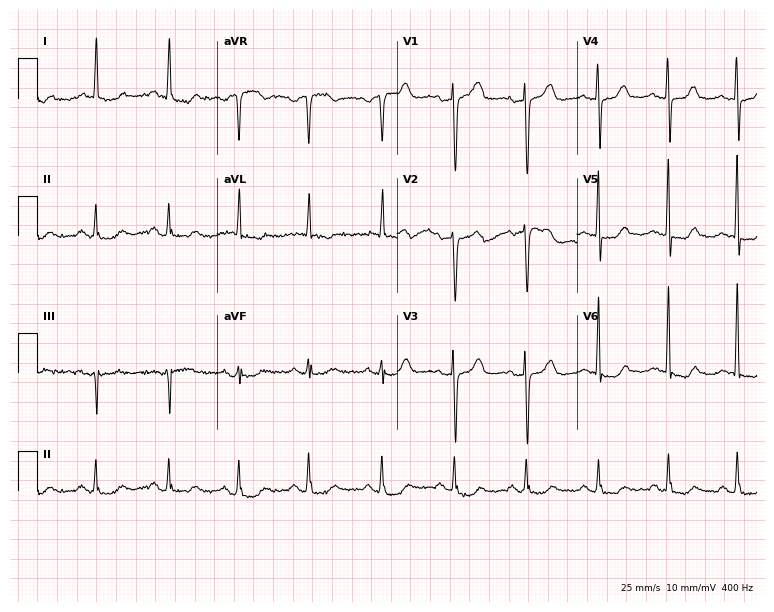
ECG (7.3-second recording at 400 Hz) — a woman, 85 years old. Screened for six findings — first-degree AV block, right bundle branch block (RBBB), left bundle branch block (LBBB), sinus bradycardia, atrial fibrillation (AF), sinus tachycardia — none is recorded.